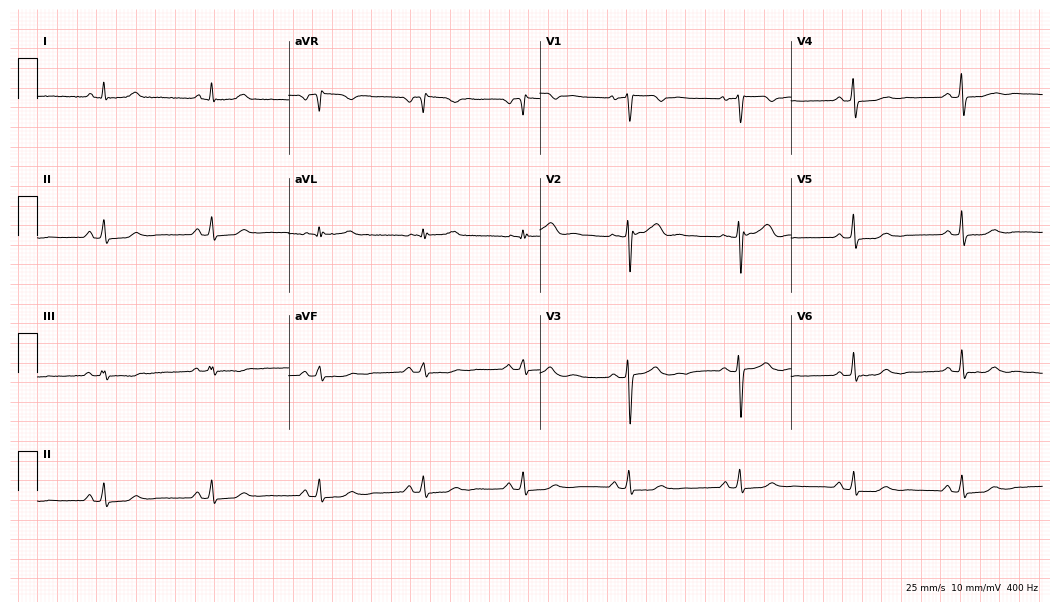
Standard 12-lead ECG recorded from a female patient, 44 years old. Read as a normal ECG.